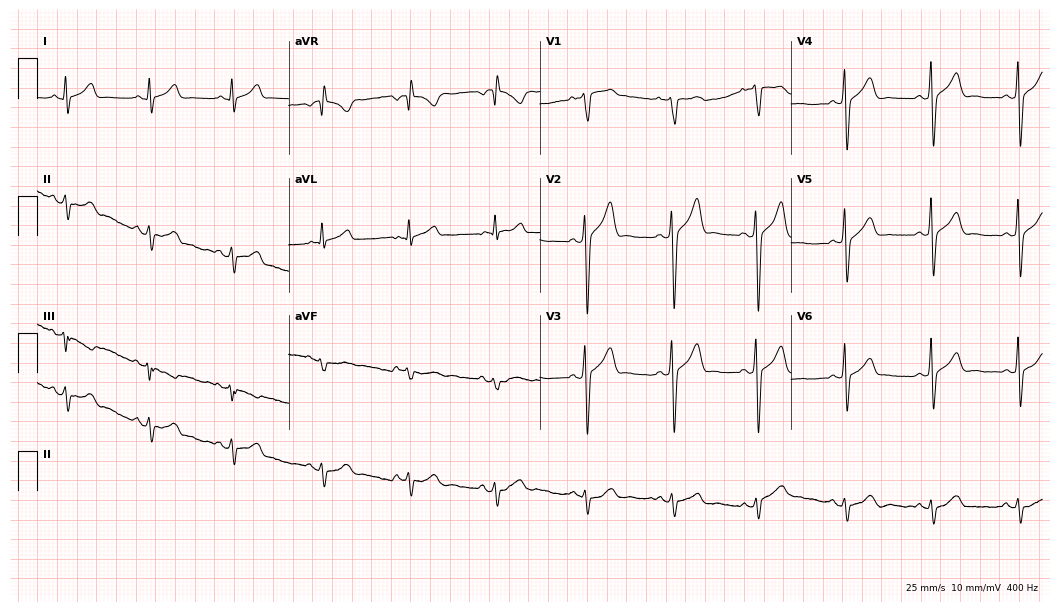
Resting 12-lead electrocardiogram. Patient: a 29-year-old male. Read as a normal ECG.